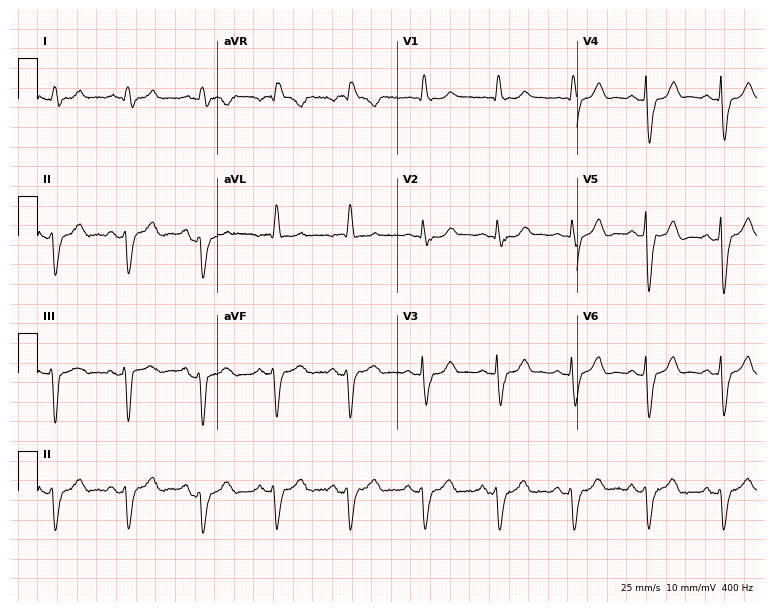
Standard 12-lead ECG recorded from a male, 78 years old. The tracing shows right bundle branch block (RBBB).